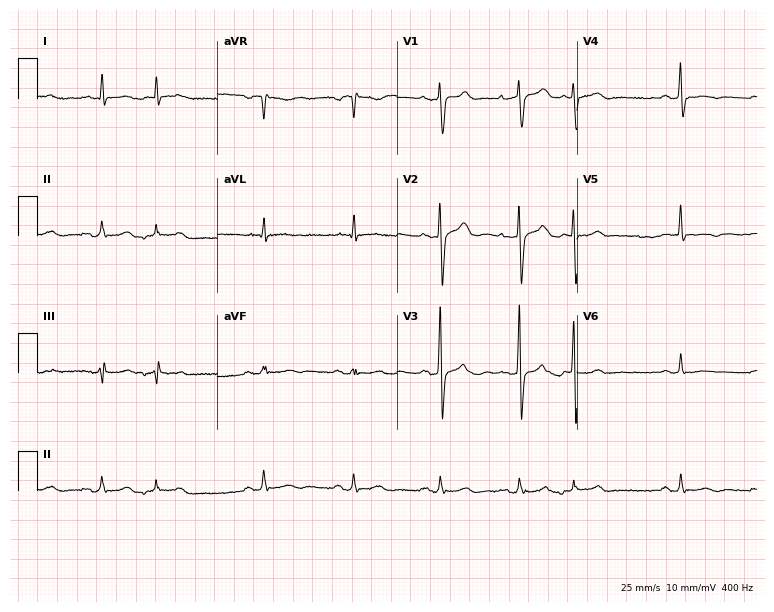
Resting 12-lead electrocardiogram. Patient: a man, 78 years old. None of these six findings is recorded: first-degree AV block, right bundle branch block, left bundle branch block, sinus bradycardia, atrial fibrillation, sinus tachycardia. Only these six findings were labelled.